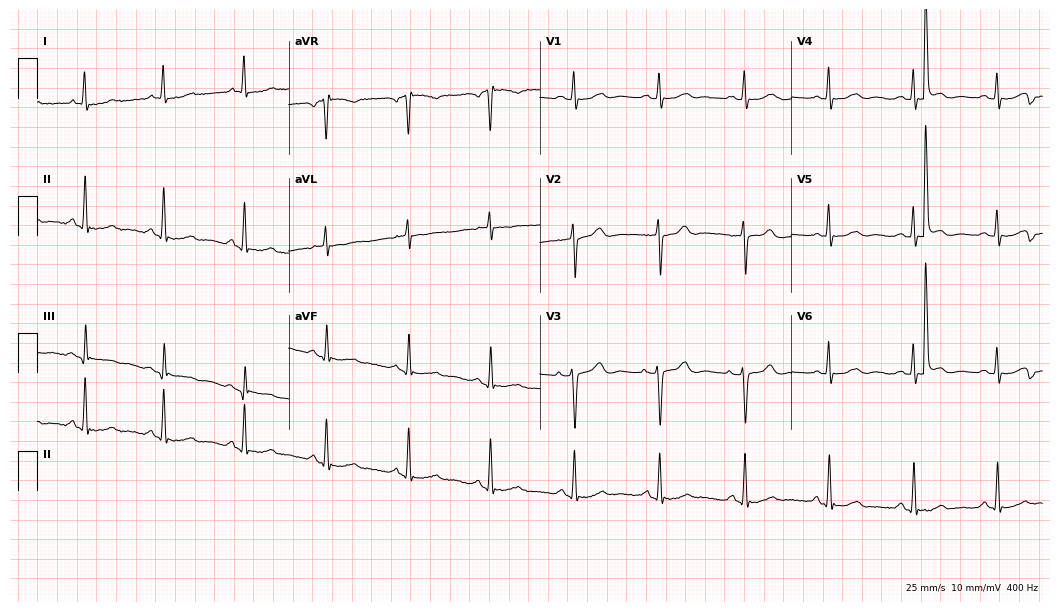
ECG (10.2-second recording at 400 Hz) — a female, 74 years old. Screened for six findings — first-degree AV block, right bundle branch block (RBBB), left bundle branch block (LBBB), sinus bradycardia, atrial fibrillation (AF), sinus tachycardia — none is recorded. Other findings, if any, are not listed.